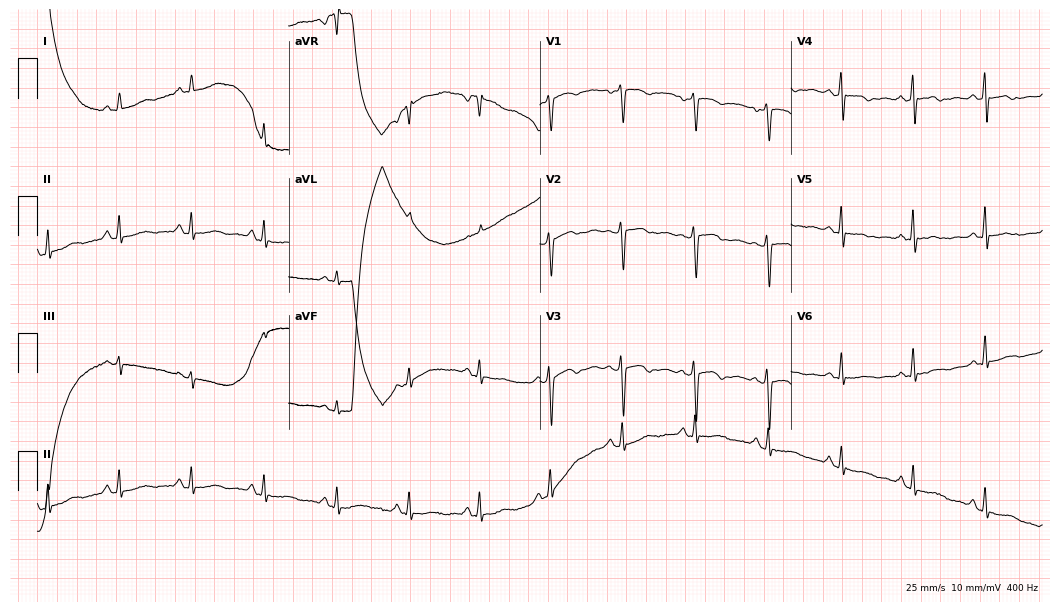
Resting 12-lead electrocardiogram. Patient: a 60-year-old female. Read as a normal ECG.